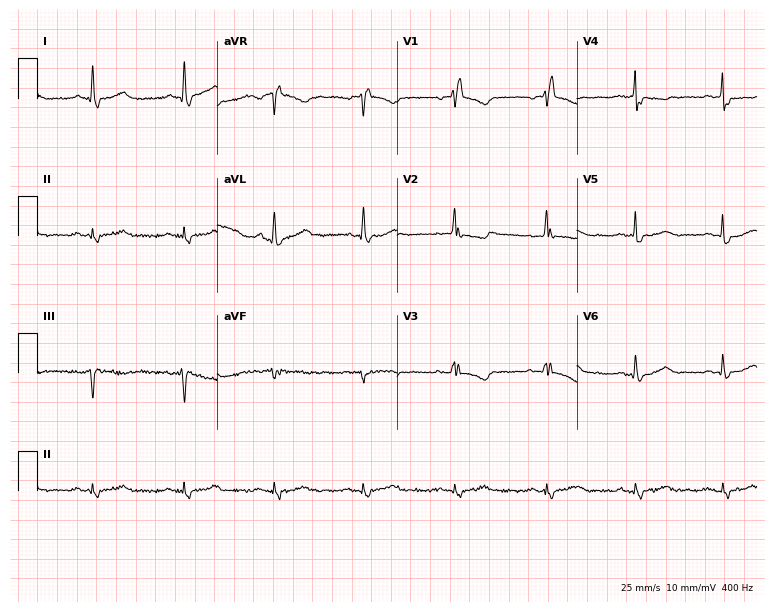
Standard 12-lead ECG recorded from an 82-year-old female patient. None of these six findings is recorded: first-degree AV block, right bundle branch block, left bundle branch block, sinus bradycardia, atrial fibrillation, sinus tachycardia.